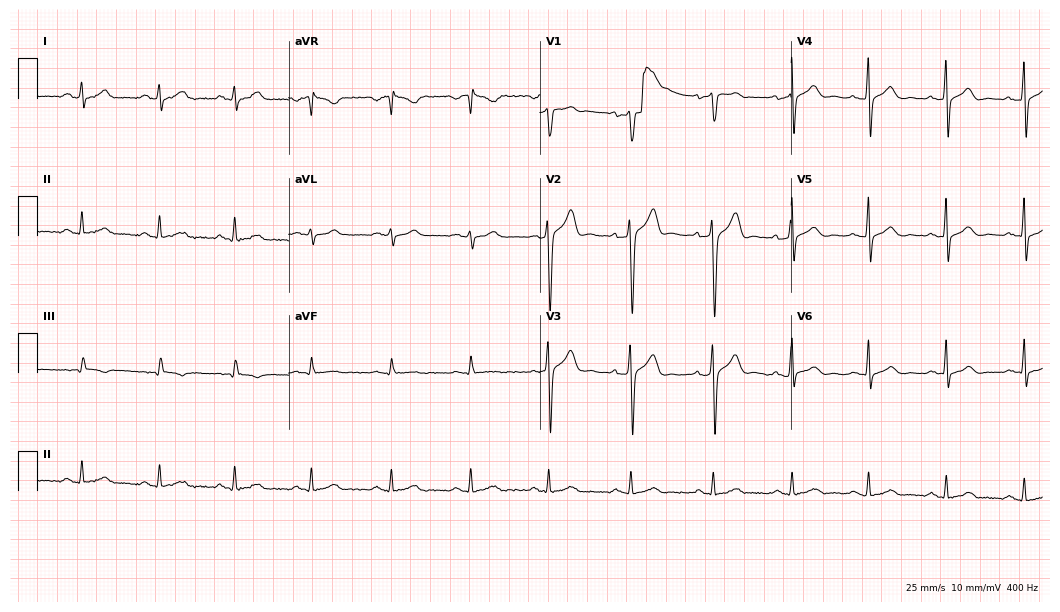
Electrocardiogram, a man, 38 years old. Overall reading on record: normal ECG.